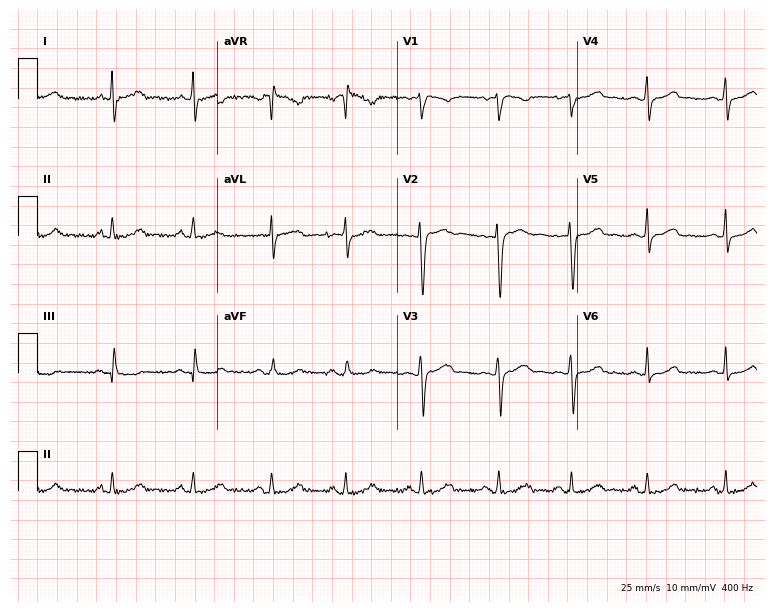
12-lead ECG from a 30-year-old female (7.3-second recording at 400 Hz). Recorded interpretation: within normal limits.